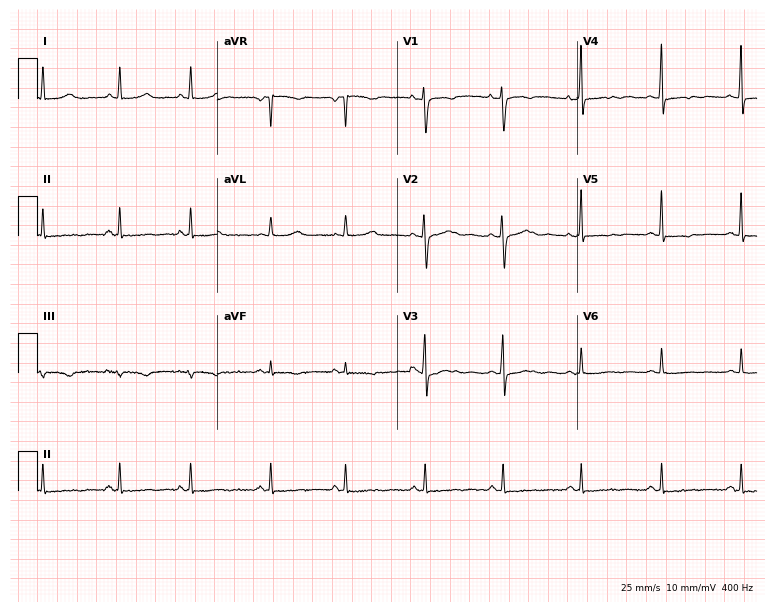
ECG (7.3-second recording at 400 Hz) — a 41-year-old woman. Screened for six findings — first-degree AV block, right bundle branch block, left bundle branch block, sinus bradycardia, atrial fibrillation, sinus tachycardia — none is recorded. Other findings, if any, are not listed.